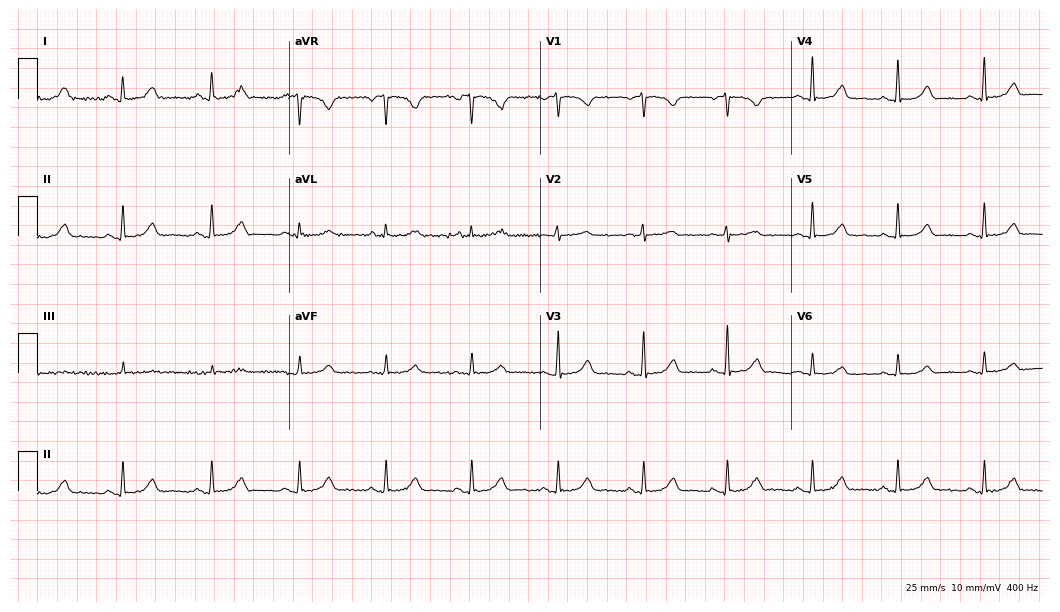
12-lead ECG from a 62-year-old woman. Labelled as a normal ECG.